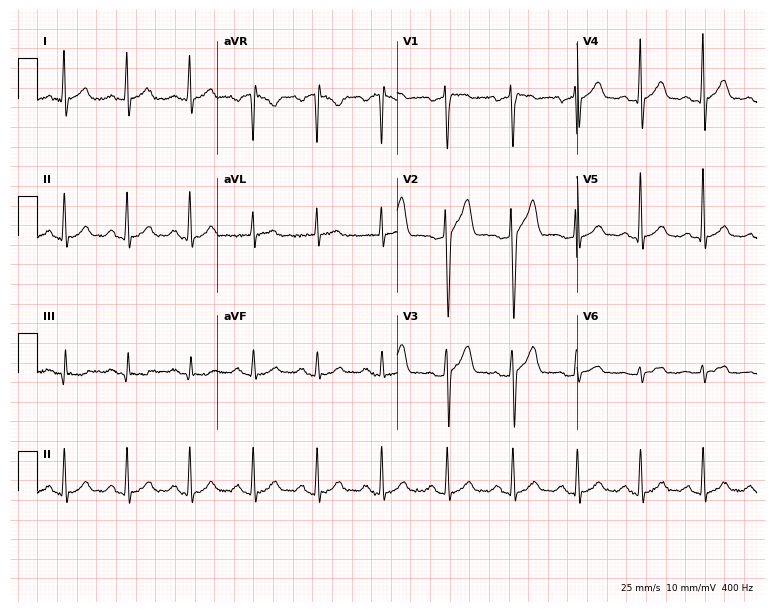
12-lead ECG from a male, 39 years old. No first-degree AV block, right bundle branch block (RBBB), left bundle branch block (LBBB), sinus bradycardia, atrial fibrillation (AF) or sinus tachycardia recorded for this tracing.